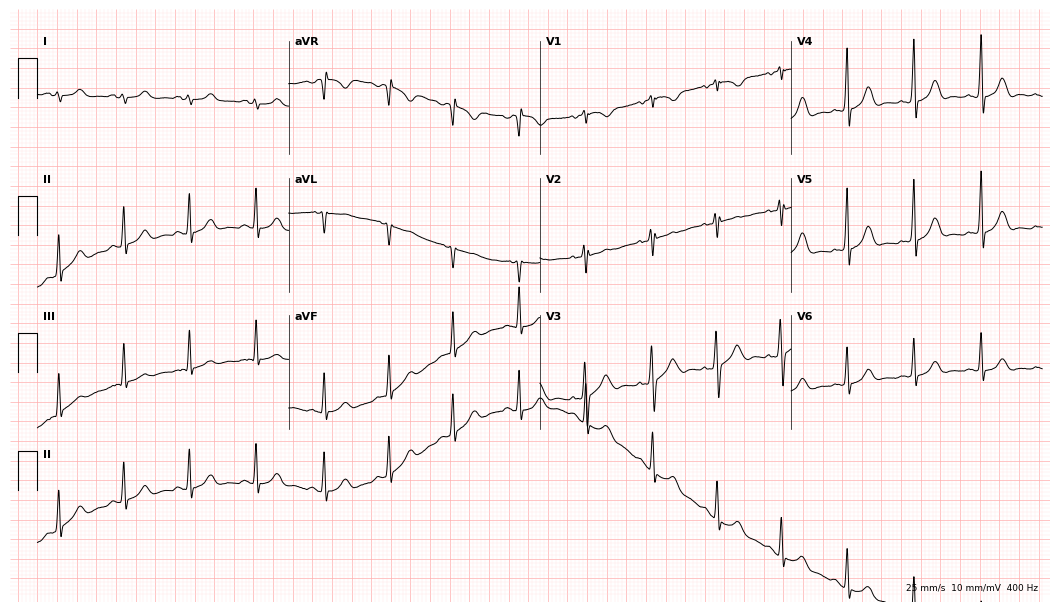
Resting 12-lead electrocardiogram. Patient: a 20-year-old female. Read as a normal ECG.